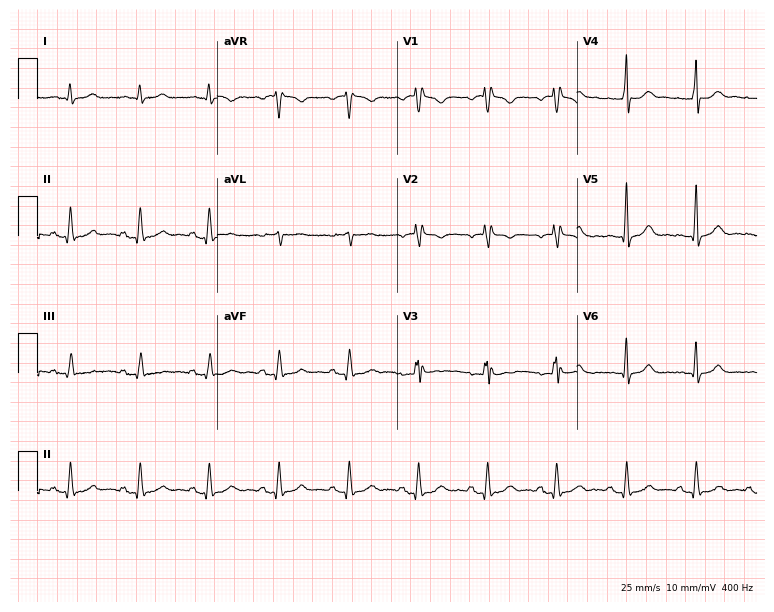
12-lead ECG from a male patient, 64 years old (7.3-second recording at 400 Hz). No first-degree AV block, right bundle branch block, left bundle branch block, sinus bradycardia, atrial fibrillation or sinus tachycardia recorded for this tracing.